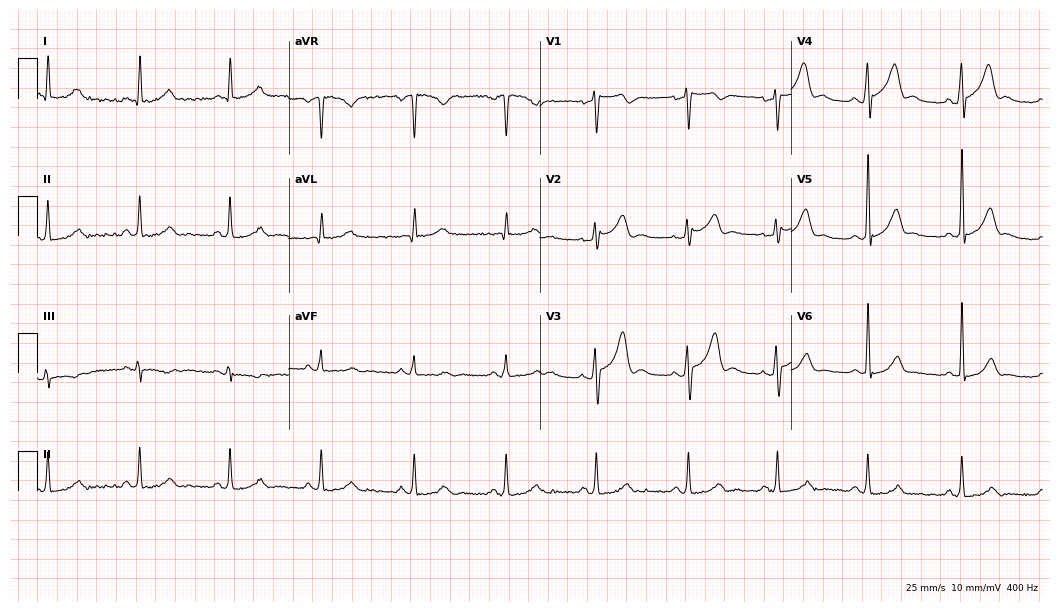
Electrocardiogram (10.2-second recording at 400 Hz), a male patient, 47 years old. Of the six screened findings (first-degree AV block, right bundle branch block (RBBB), left bundle branch block (LBBB), sinus bradycardia, atrial fibrillation (AF), sinus tachycardia), none is recorded.